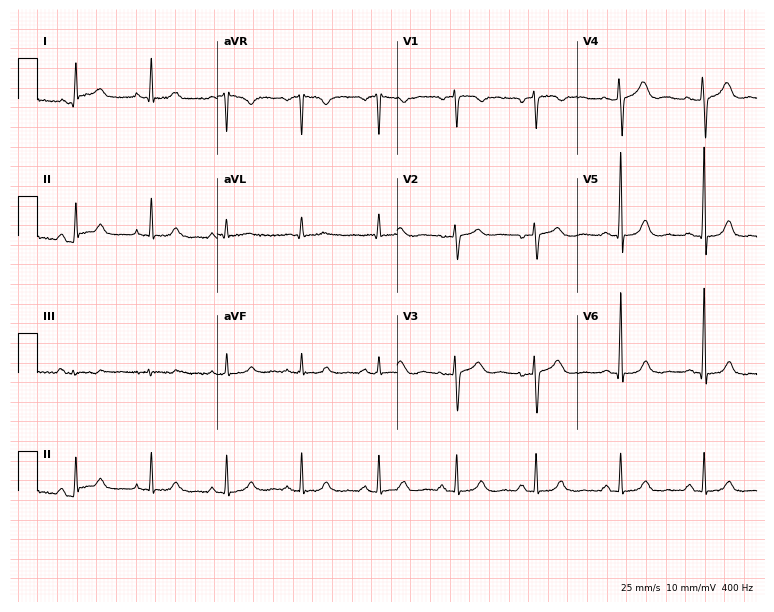
Electrocardiogram, a 49-year-old female. Of the six screened findings (first-degree AV block, right bundle branch block, left bundle branch block, sinus bradycardia, atrial fibrillation, sinus tachycardia), none is recorded.